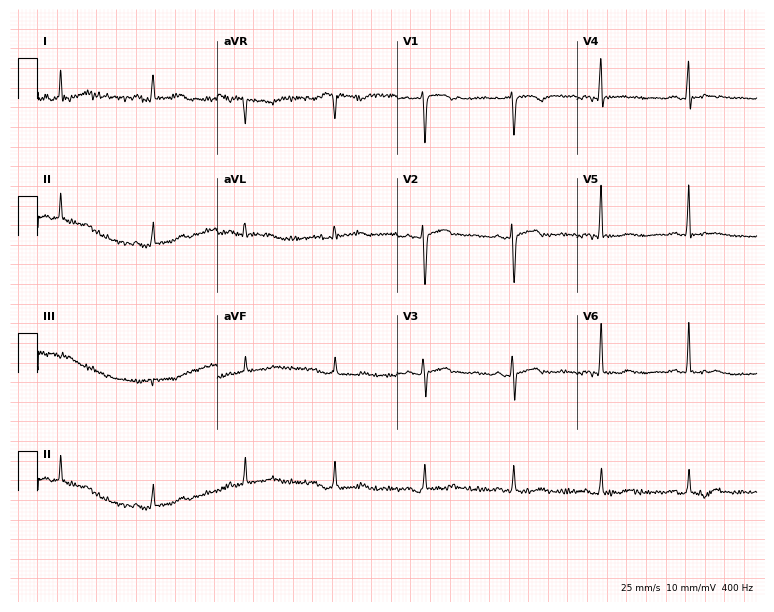
Electrocardiogram (7.3-second recording at 400 Hz), a woman, 53 years old. Of the six screened findings (first-degree AV block, right bundle branch block, left bundle branch block, sinus bradycardia, atrial fibrillation, sinus tachycardia), none is recorded.